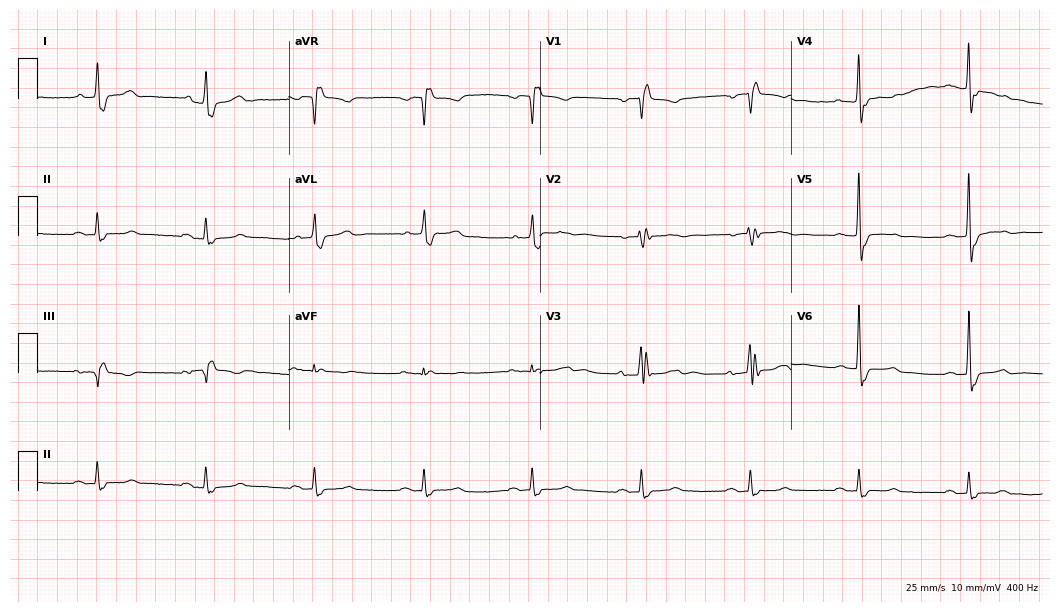
Standard 12-lead ECG recorded from an 82-year-old female. The tracing shows right bundle branch block.